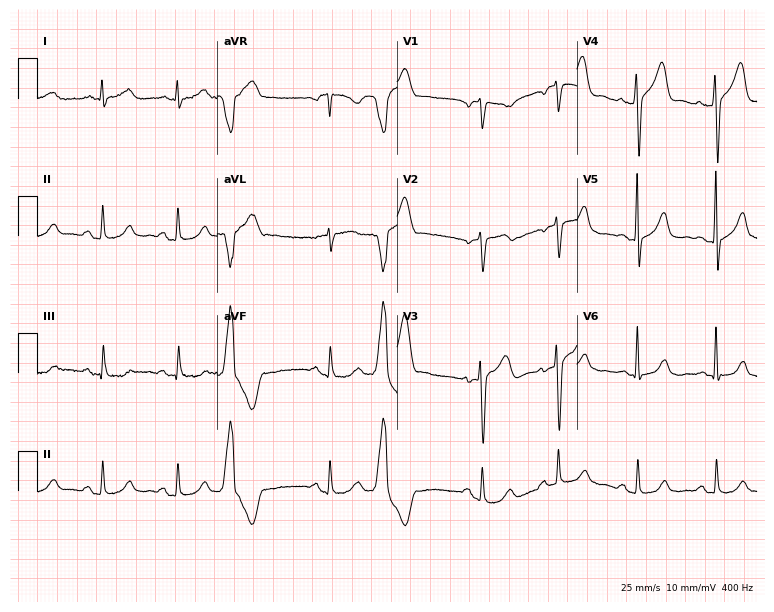
12-lead ECG from a 45-year-old man. No first-degree AV block, right bundle branch block, left bundle branch block, sinus bradycardia, atrial fibrillation or sinus tachycardia recorded for this tracing.